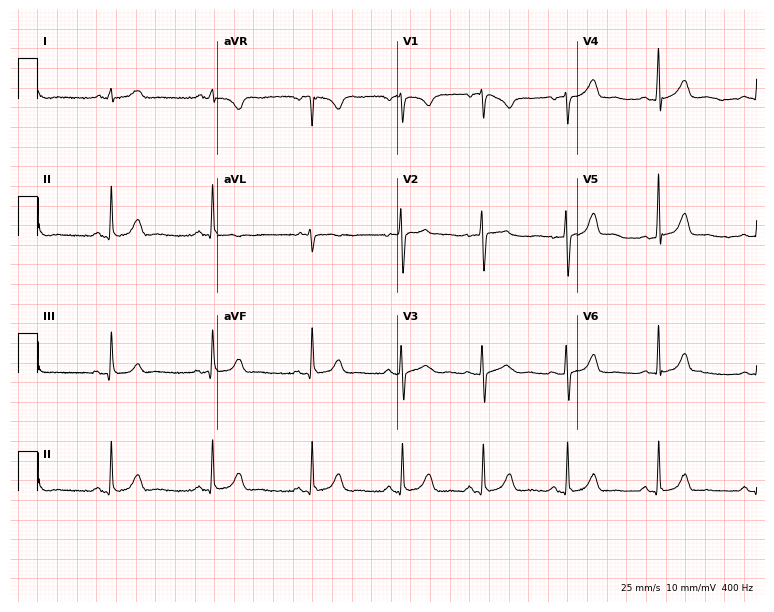
ECG — a female, 37 years old. Screened for six findings — first-degree AV block, right bundle branch block, left bundle branch block, sinus bradycardia, atrial fibrillation, sinus tachycardia — none is recorded.